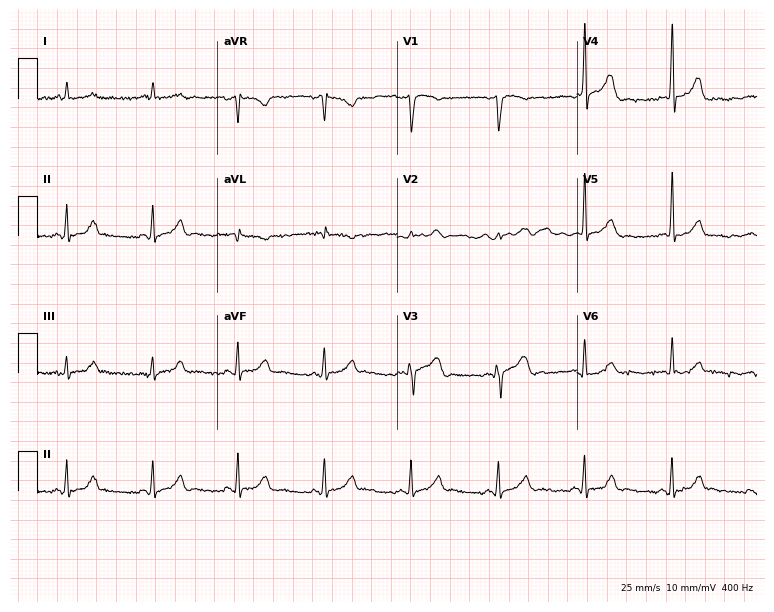
Standard 12-lead ECG recorded from a male, 22 years old (7.3-second recording at 400 Hz). Read as a normal ECG.